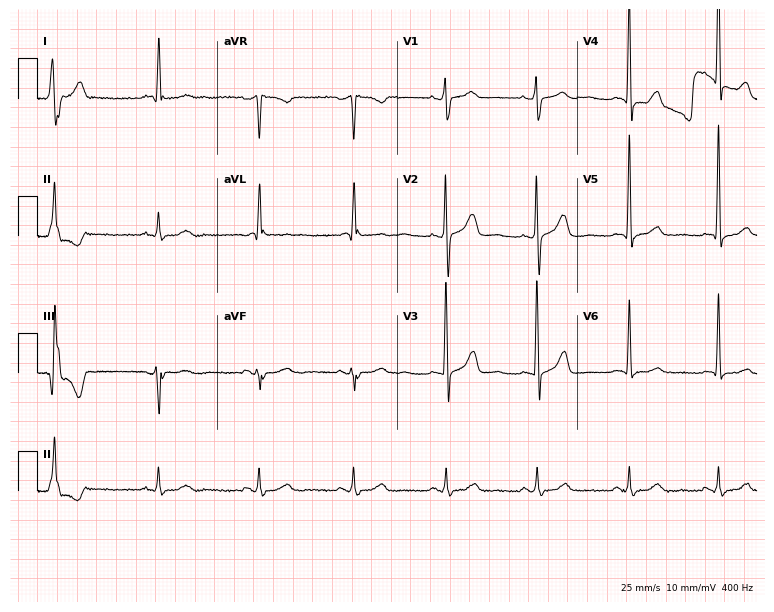
Standard 12-lead ECG recorded from a female patient, 72 years old (7.3-second recording at 400 Hz). None of these six findings is recorded: first-degree AV block, right bundle branch block, left bundle branch block, sinus bradycardia, atrial fibrillation, sinus tachycardia. Other findings, if any, are not listed.